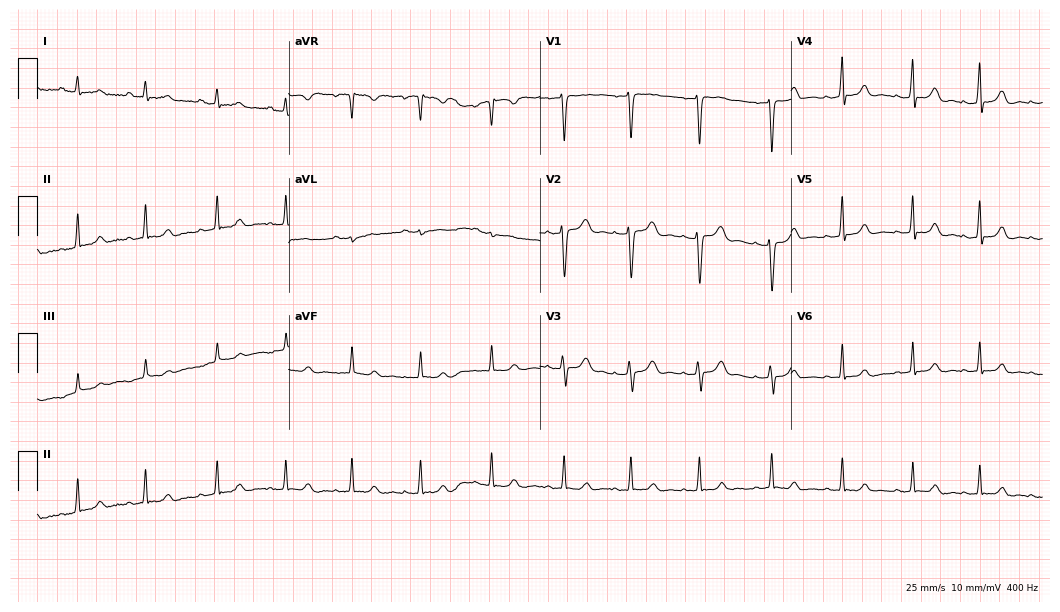
12-lead ECG from a 30-year-old woman. Labelled as a normal ECG.